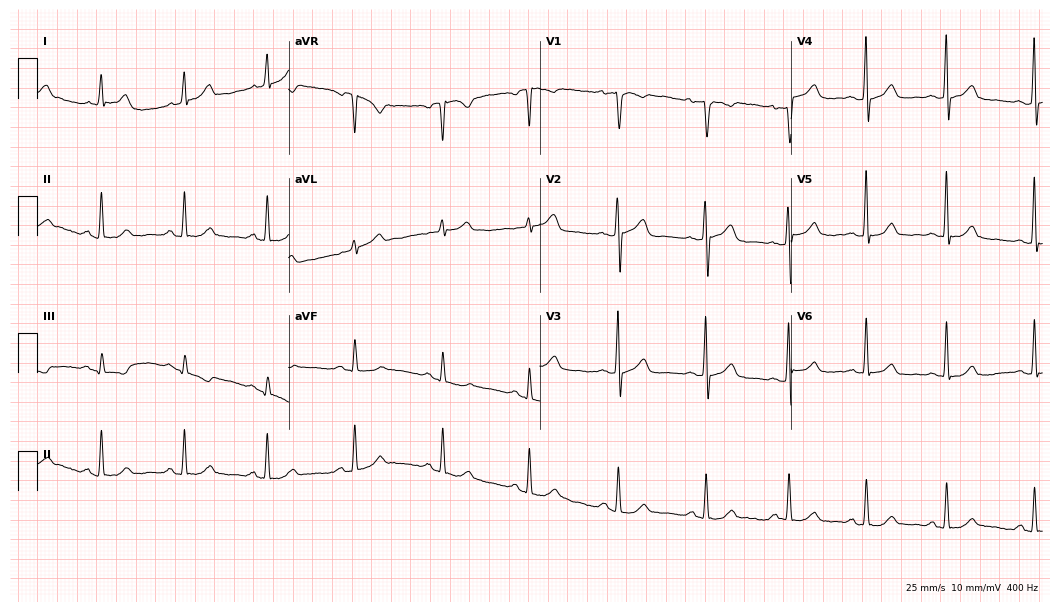
12-lead ECG (10.2-second recording at 400 Hz) from a 71-year-old male patient. Labelled as a normal ECG.